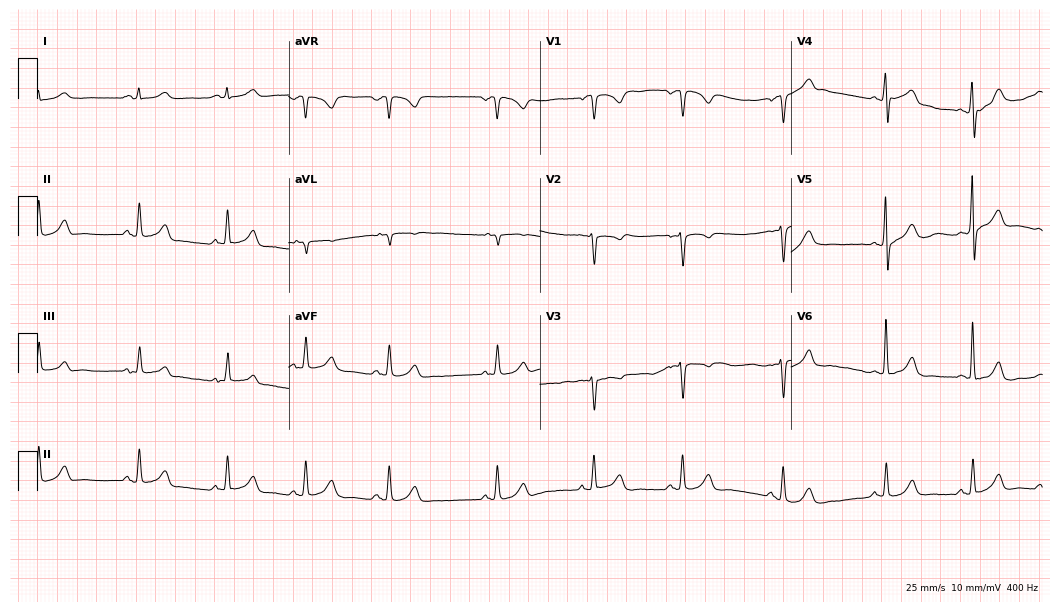
Standard 12-lead ECG recorded from a 17-year-old woman (10.2-second recording at 400 Hz). None of these six findings is recorded: first-degree AV block, right bundle branch block (RBBB), left bundle branch block (LBBB), sinus bradycardia, atrial fibrillation (AF), sinus tachycardia. Other findings, if any, are not listed.